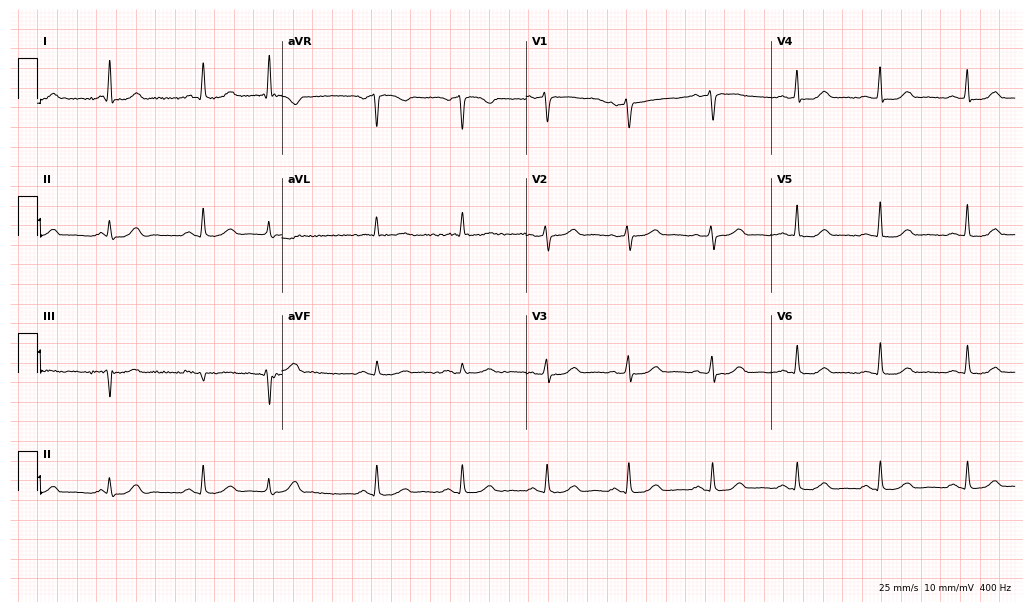
Standard 12-lead ECG recorded from a woman, 52 years old (10-second recording at 400 Hz). None of these six findings is recorded: first-degree AV block, right bundle branch block, left bundle branch block, sinus bradycardia, atrial fibrillation, sinus tachycardia.